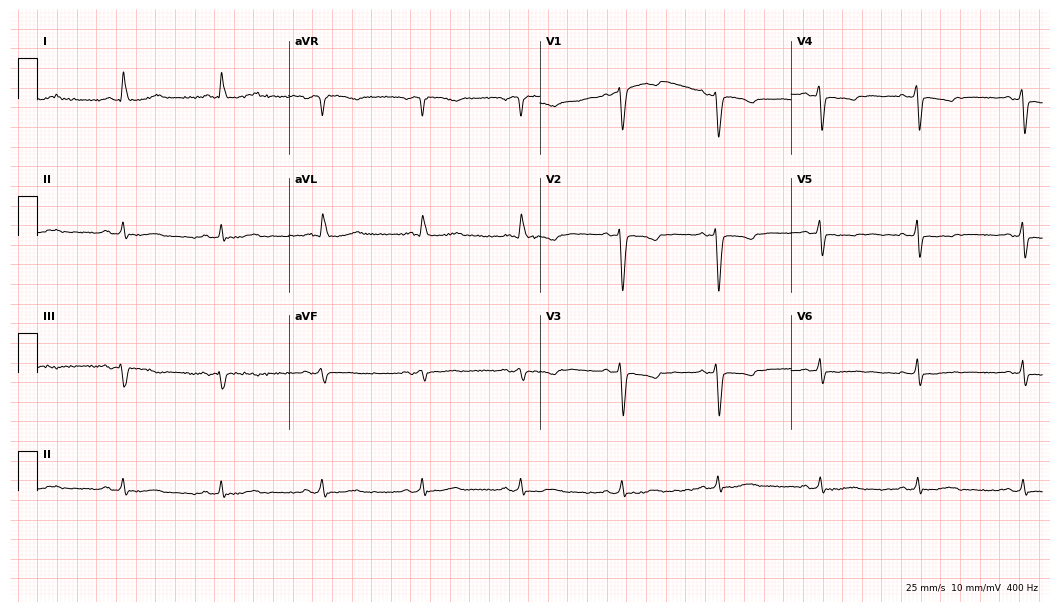
ECG — a 61-year-old female. Screened for six findings — first-degree AV block, right bundle branch block (RBBB), left bundle branch block (LBBB), sinus bradycardia, atrial fibrillation (AF), sinus tachycardia — none is recorded. Findings outside these six are not listed.